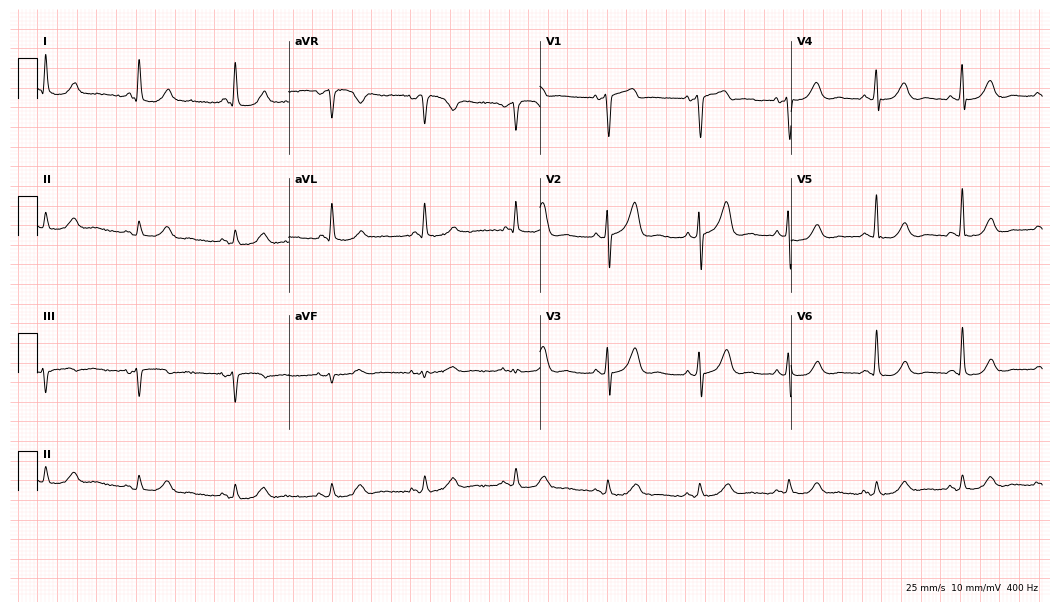
12-lead ECG (10.2-second recording at 400 Hz) from a 73-year-old male. Screened for six findings — first-degree AV block, right bundle branch block, left bundle branch block, sinus bradycardia, atrial fibrillation, sinus tachycardia — none is recorded.